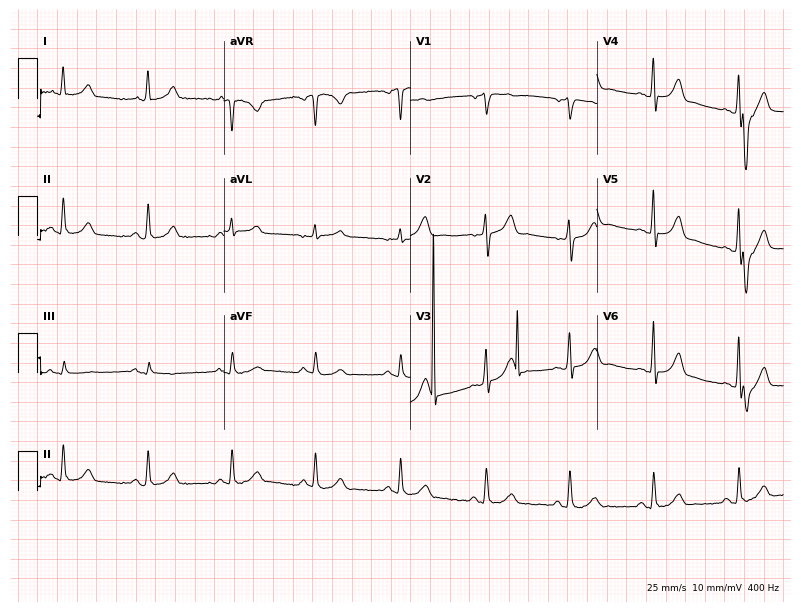
Standard 12-lead ECG recorded from a 58-year-old male. None of these six findings is recorded: first-degree AV block, right bundle branch block (RBBB), left bundle branch block (LBBB), sinus bradycardia, atrial fibrillation (AF), sinus tachycardia.